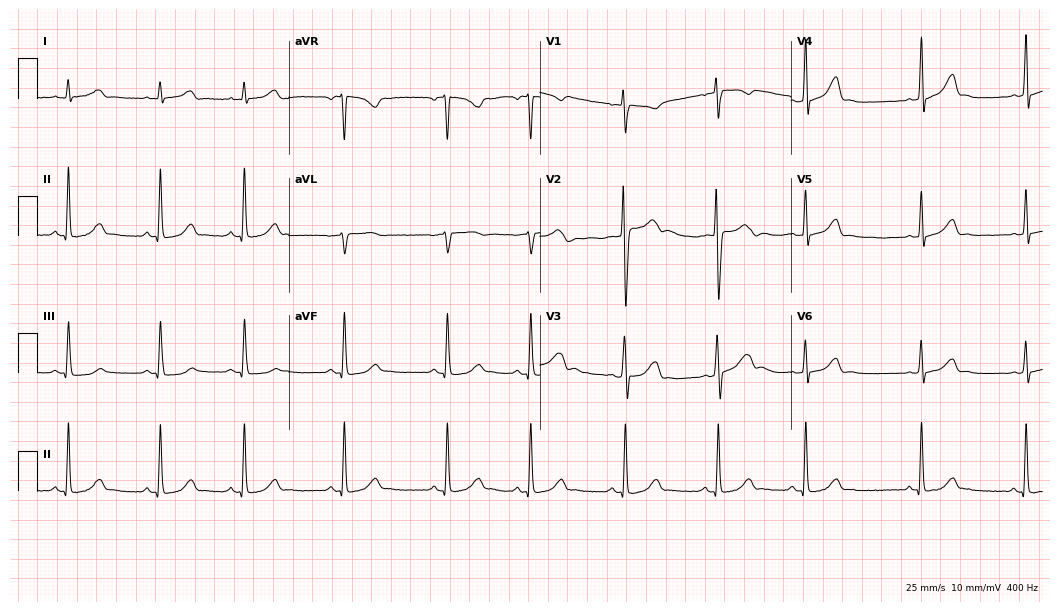
ECG — a female, 17 years old. Labelled as a normal ECG.